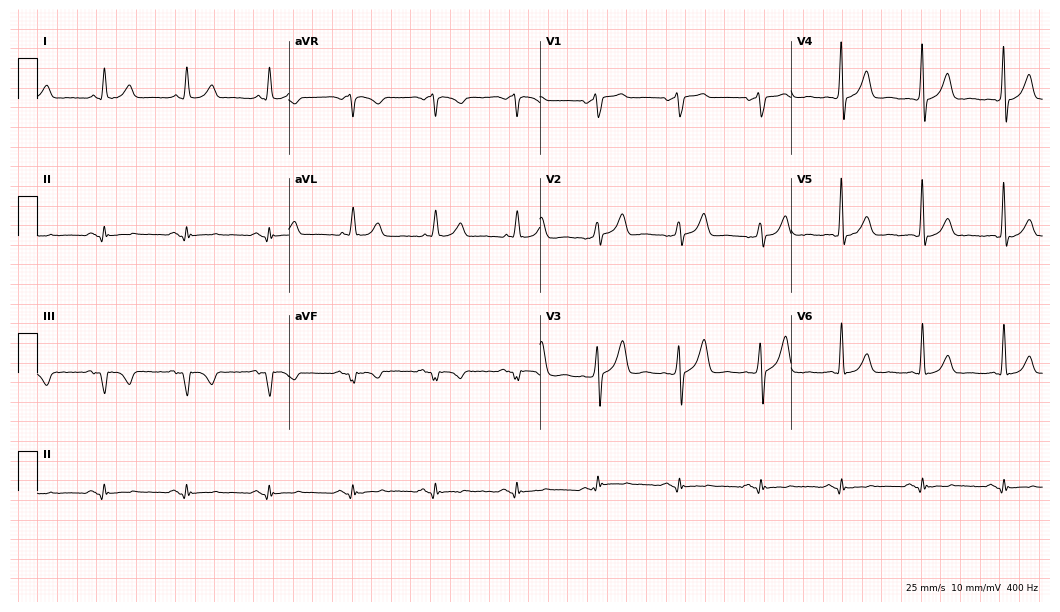
ECG — a 57-year-old male. Labelled as a normal ECG.